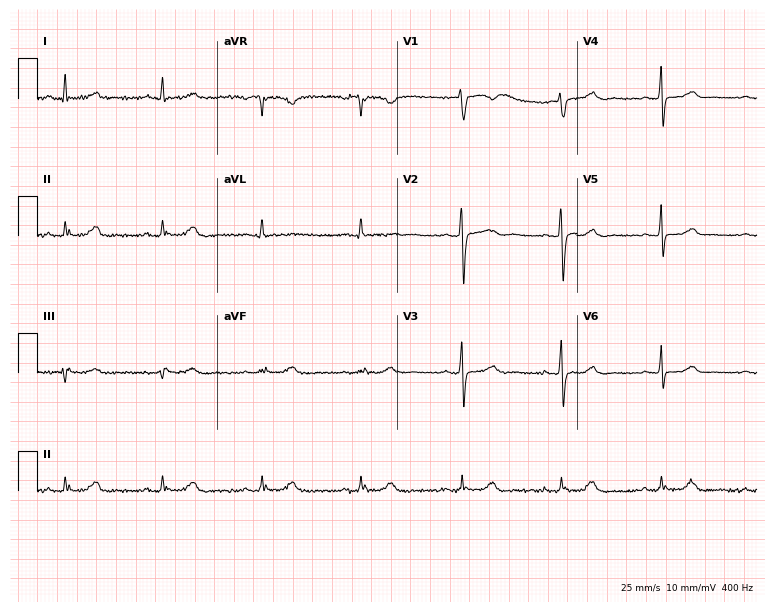
Resting 12-lead electrocardiogram. Patient: a 69-year-old female. Read as a normal ECG.